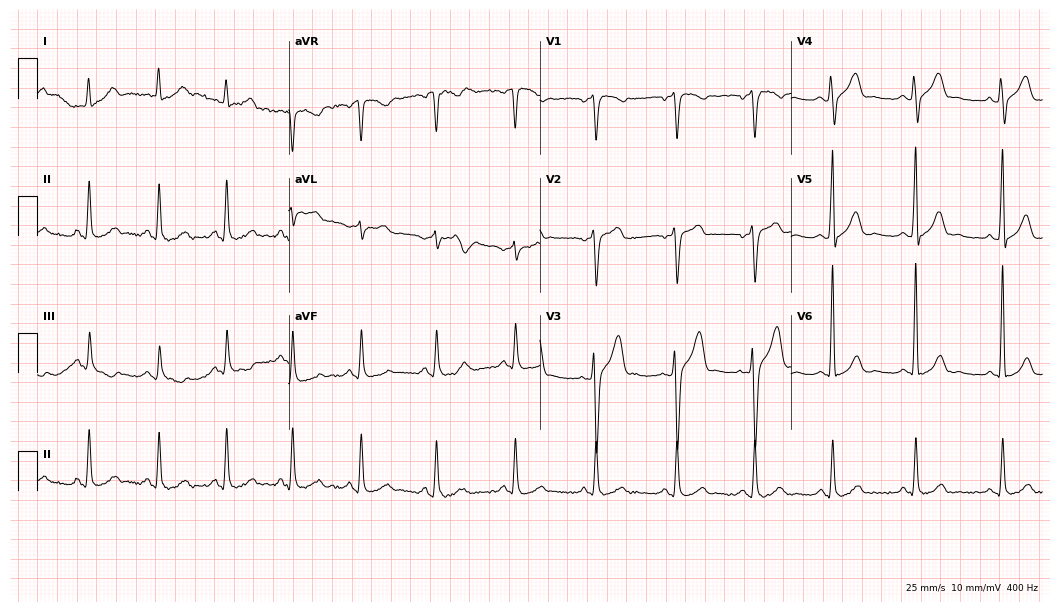
Electrocardiogram, a male, 56 years old. Of the six screened findings (first-degree AV block, right bundle branch block, left bundle branch block, sinus bradycardia, atrial fibrillation, sinus tachycardia), none is recorded.